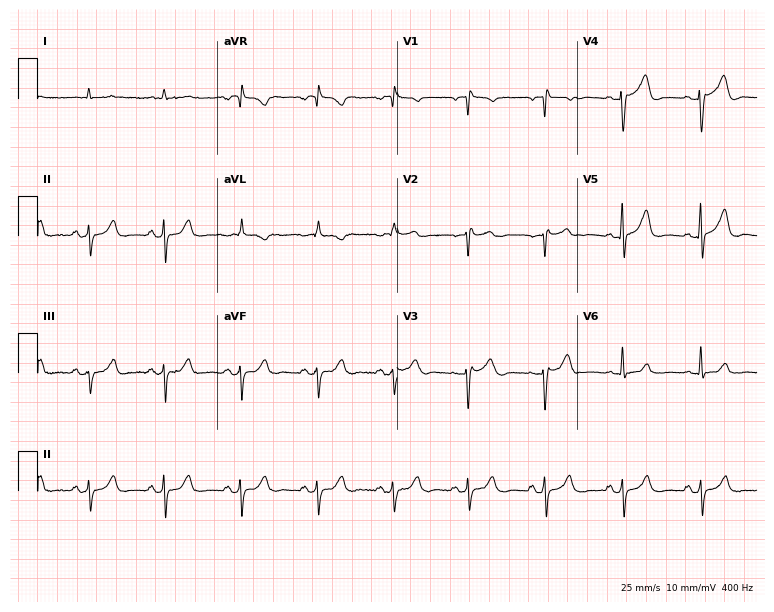
Electrocardiogram, a man, 74 years old. Of the six screened findings (first-degree AV block, right bundle branch block (RBBB), left bundle branch block (LBBB), sinus bradycardia, atrial fibrillation (AF), sinus tachycardia), none is recorded.